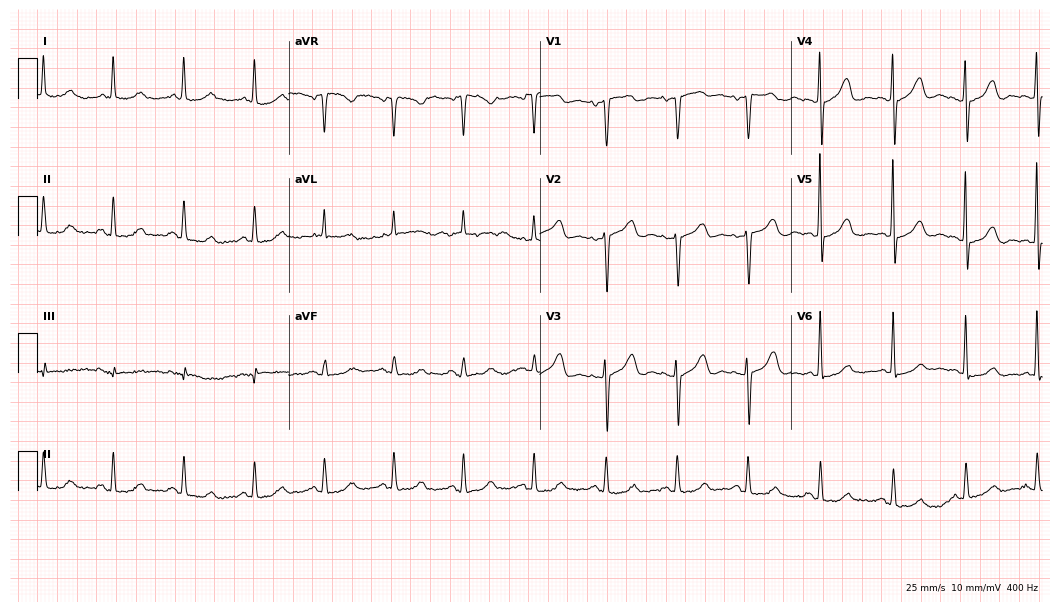
Standard 12-lead ECG recorded from a 78-year-old female patient (10.2-second recording at 400 Hz). None of these six findings is recorded: first-degree AV block, right bundle branch block (RBBB), left bundle branch block (LBBB), sinus bradycardia, atrial fibrillation (AF), sinus tachycardia.